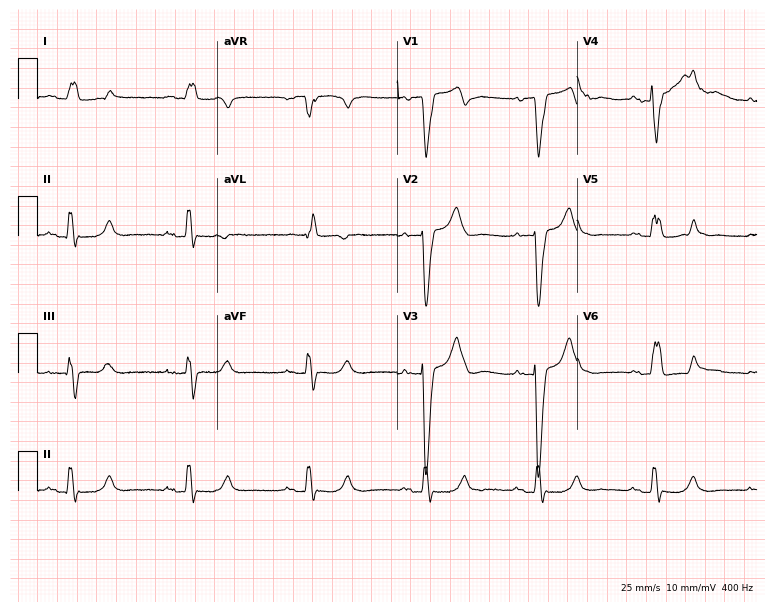
Resting 12-lead electrocardiogram. Patient: an 85-year-old man. None of these six findings is recorded: first-degree AV block, right bundle branch block, left bundle branch block, sinus bradycardia, atrial fibrillation, sinus tachycardia.